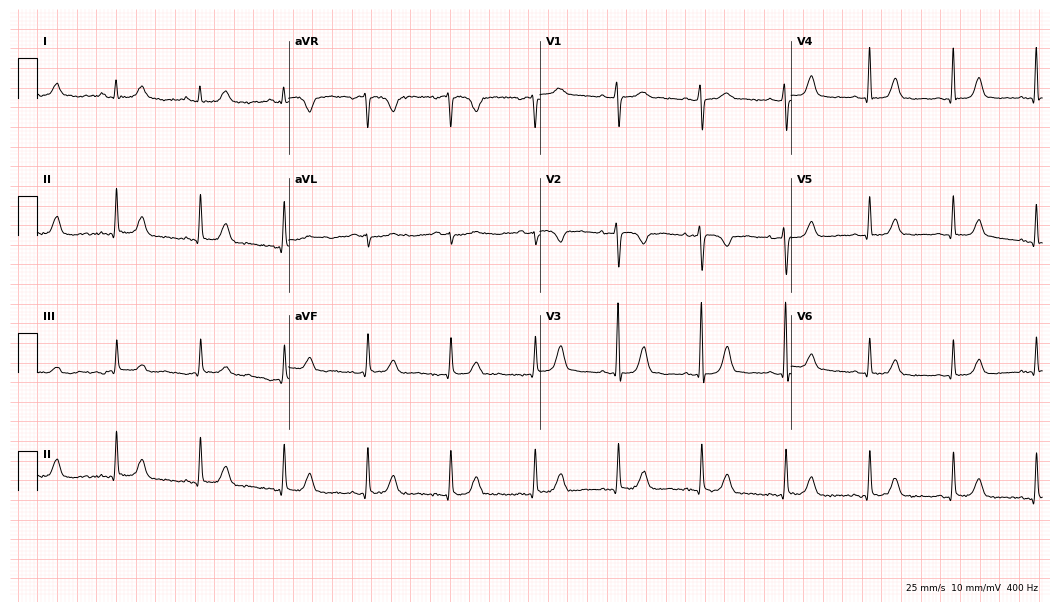
12-lead ECG (10.2-second recording at 400 Hz) from an 81-year-old female patient. Screened for six findings — first-degree AV block, right bundle branch block, left bundle branch block, sinus bradycardia, atrial fibrillation, sinus tachycardia — none is recorded. Only these six findings were labelled.